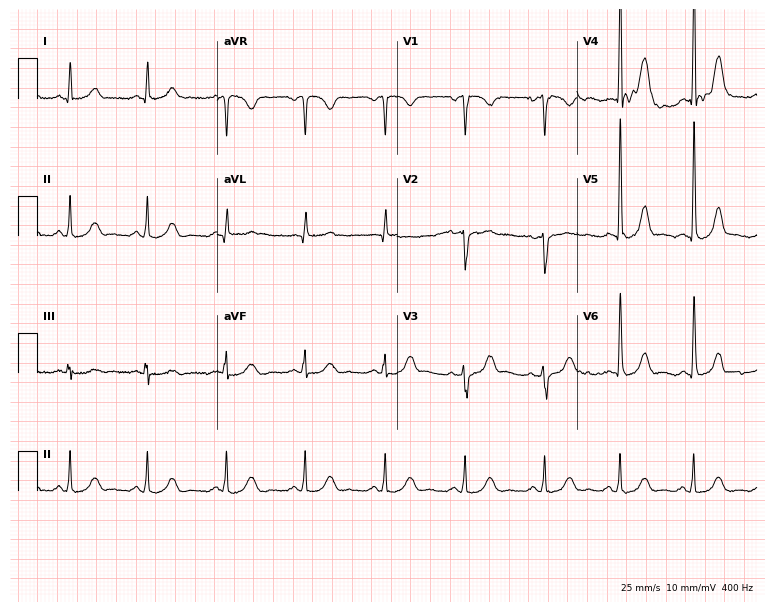
12-lead ECG from a 58-year-old female. Screened for six findings — first-degree AV block, right bundle branch block (RBBB), left bundle branch block (LBBB), sinus bradycardia, atrial fibrillation (AF), sinus tachycardia — none is recorded. Findings outside these six are not listed.